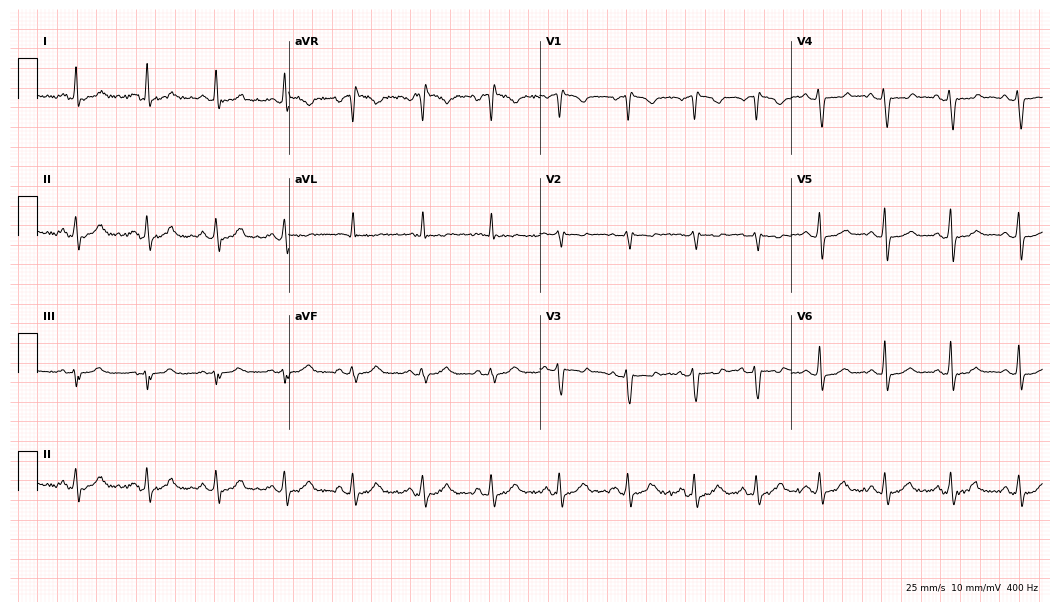
Resting 12-lead electrocardiogram. Patient: a female, 43 years old. None of these six findings is recorded: first-degree AV block, right bundle branch block (RBBB), left bundle branch block (LBBB), sinus bradycardia, atrial fibrillation (AF), sinus tachycardia. Findings outside these six are not listed.